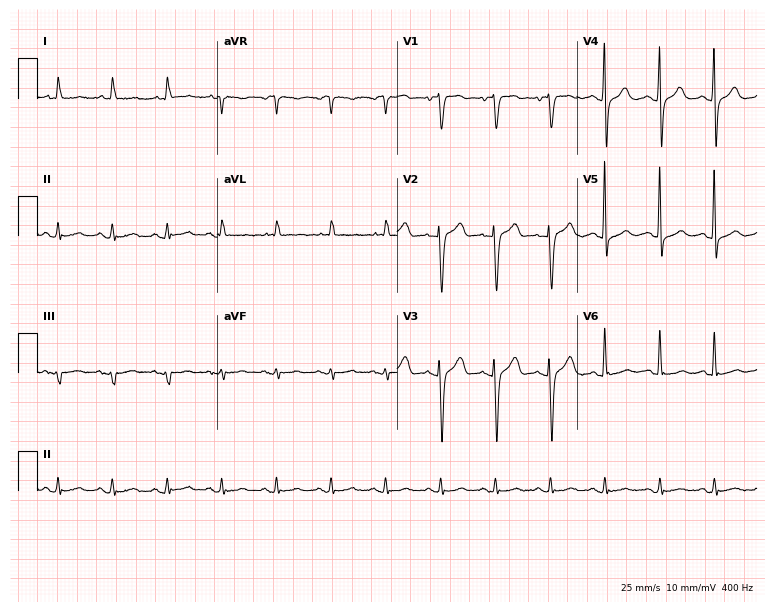
ECG — a male patient, 84 years old. Findings include sinus tachycardia (a sinus rate of 100 beats per minute or more).